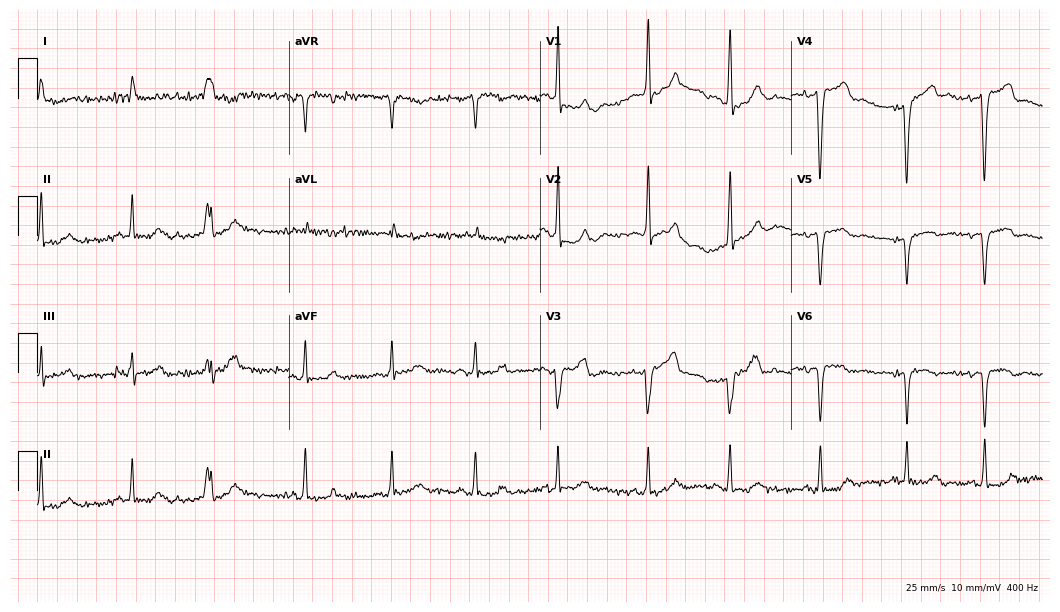
Standard 12-lead ECG recorded from a 69-year-old woman (10.2-second recording at 400 Hz). None of these six findings is recorded: first-degree AV block, right bundle branch block, left bundle branch block, sinus bradycardia, atrial fibrillation, sinus tachycardia.